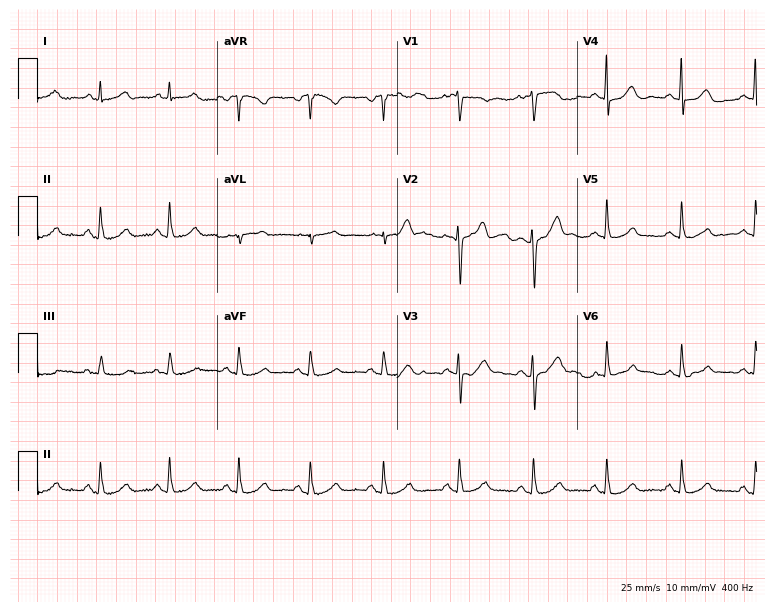
12-lead ECG from a female patient, 48 years old. Recorded interpretation: within normal limits.